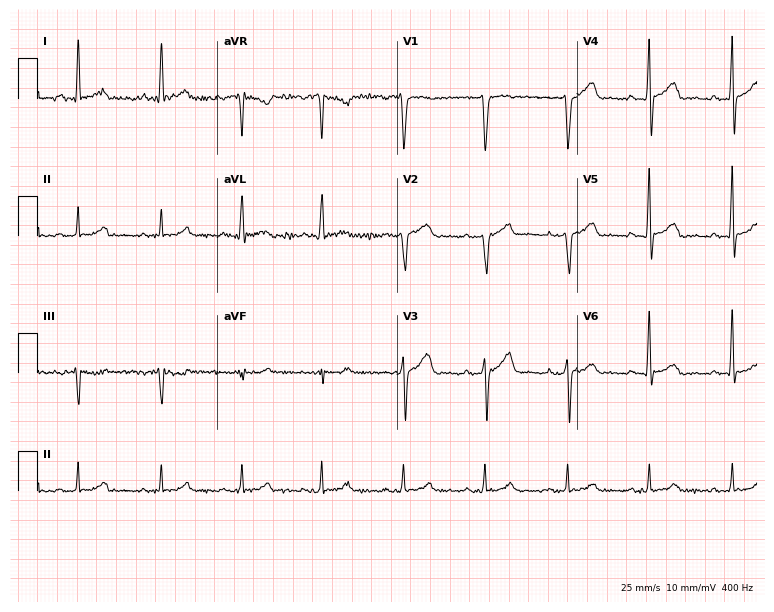
Electrocardiogram (7.3-second recording at 400 Hz), a male patient, 47 years old. Of the six screened findings (first-degree AV block, right bundle branch block (RBBB), left bundle branch block (LBBB), sinus bradycardia, atrial fibrillation (AF), sinus tachycardia), none is recorded.